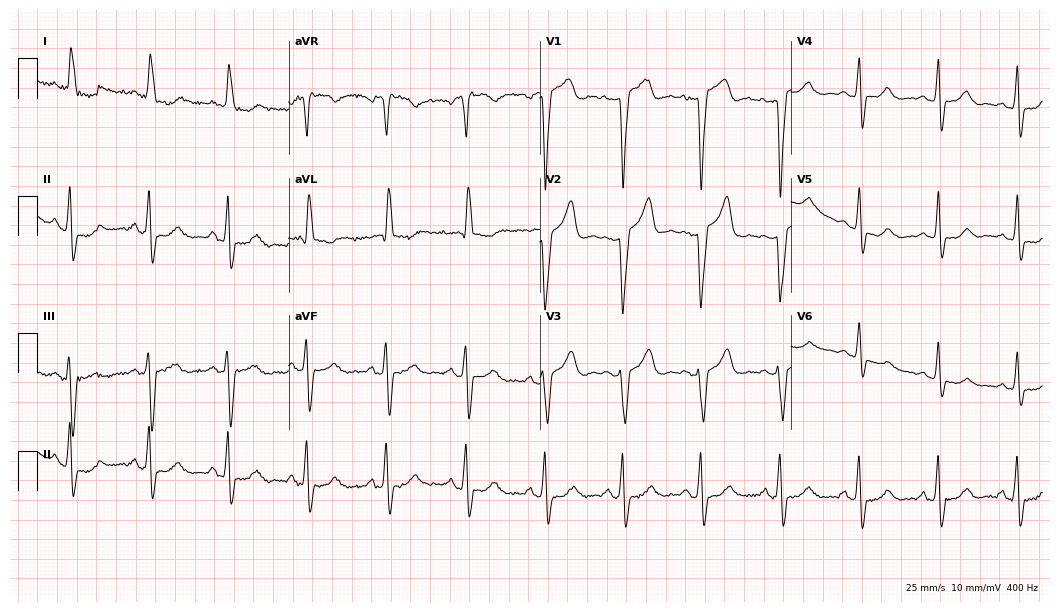
Standard 12-lead ECG recorded from a female, 80 years old (10.2-second recording at 400 Hz). None of these six findings is recorded: first-degree AV block, right bundle branch block, left bundle branch block, sinus bradycardia, atrial fibrillation, sinus tachycardia.